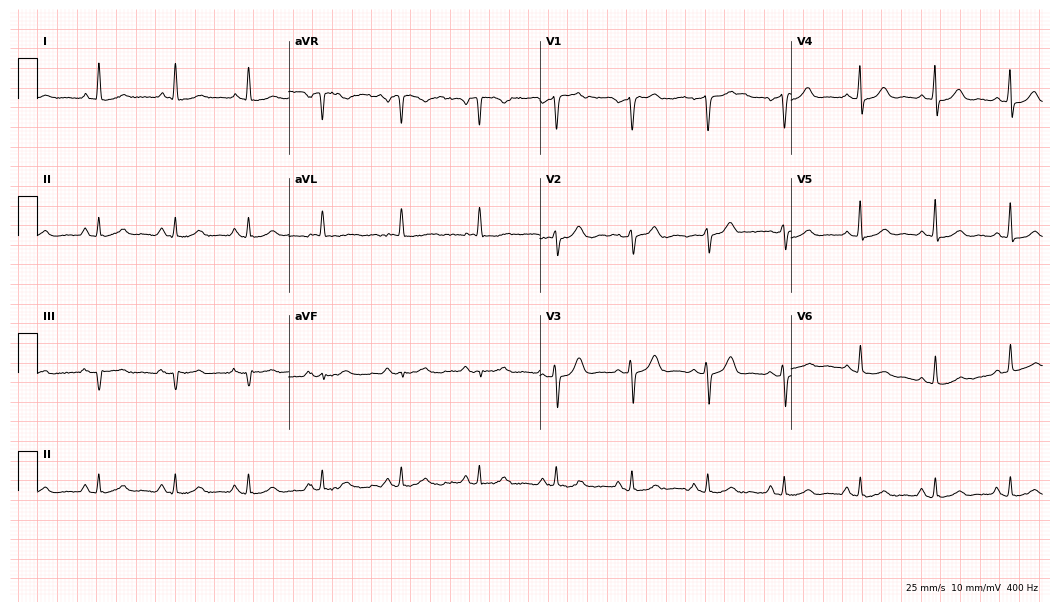
ECG (10.2-second recording at 400 Hz) — a 64-year-old woman. Labelled as a normal ECG.